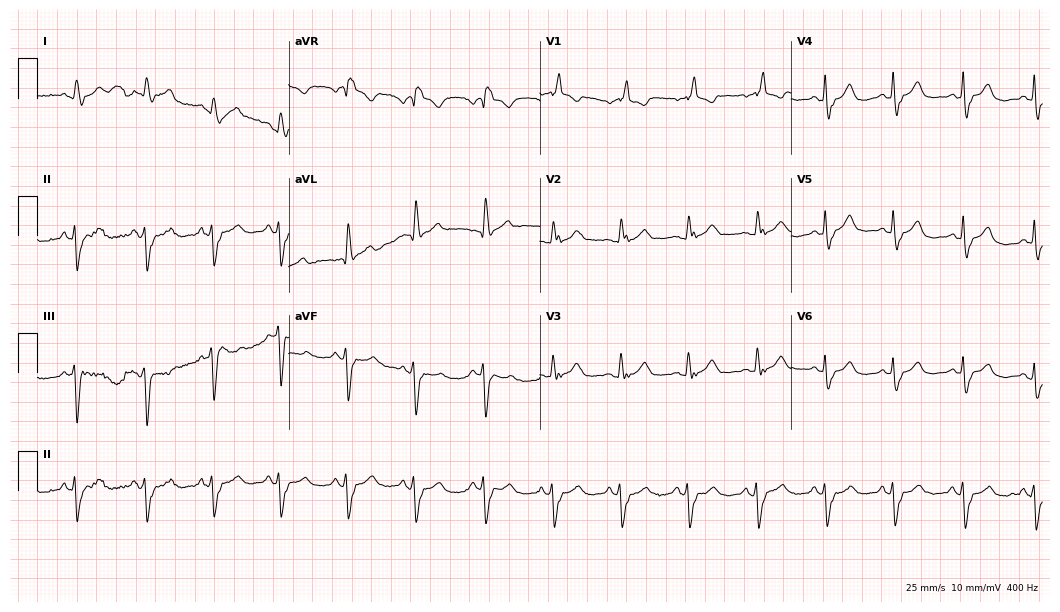
Standard 12-lead ECG recorded from a female, 74 years old. The tracing shows right bundle branch block.